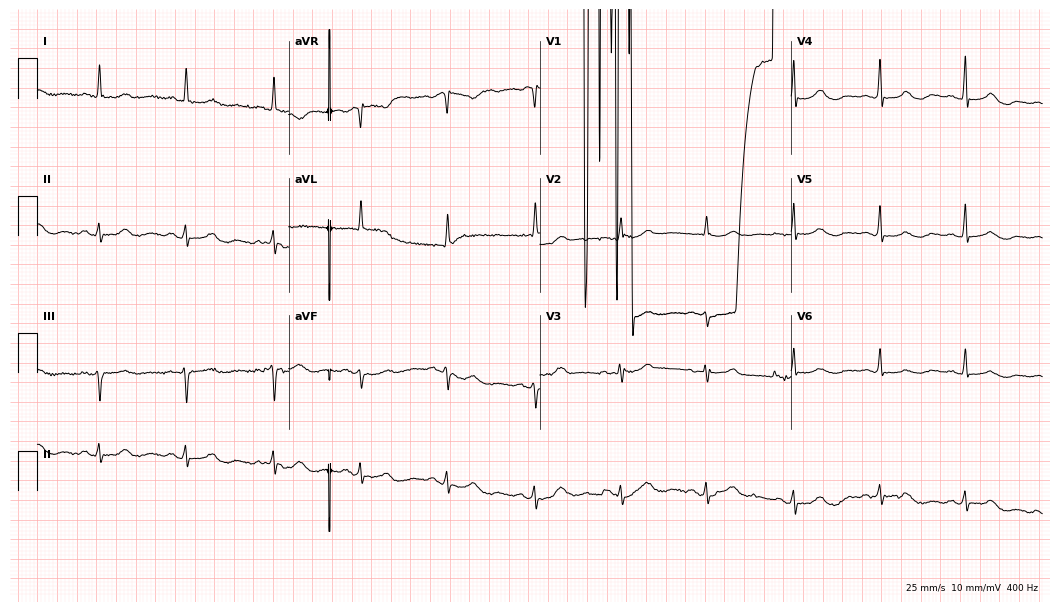
Standard 12-lead ECG recorded from a 72-year-old female patient. None of these six findings is recorded: first-degree AV block, right bundle branch block (RBBB), left bundle branch block (LBBB), sinus bradycardia, atrial fibrillation (AF), sinus tachycardia. Findings outside these six are not listed.